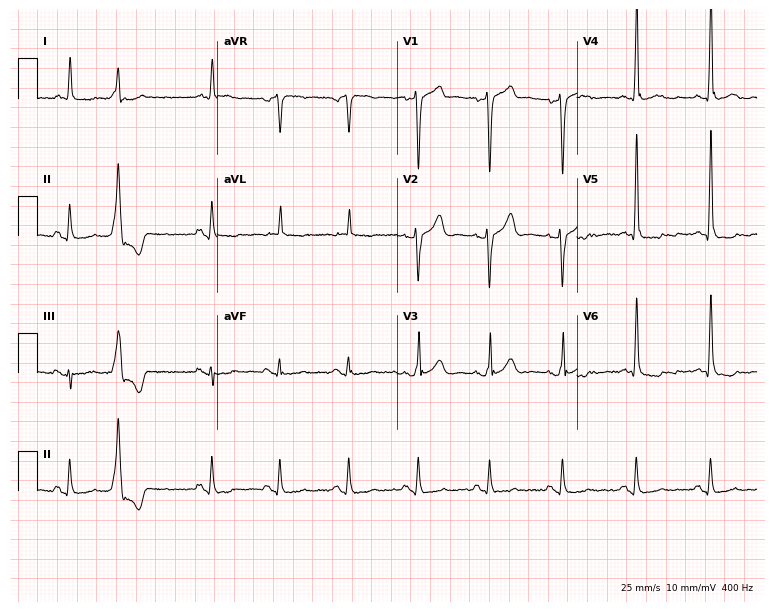
12-lead ECG from a 73-year-old male (7.3-second recording at 400 Hz). No first-degree AV block, right bundle branch block, left bundle branch block, sinus bradycardia, atrial fibrillation or sinus tachycardia recorded for this tracing.